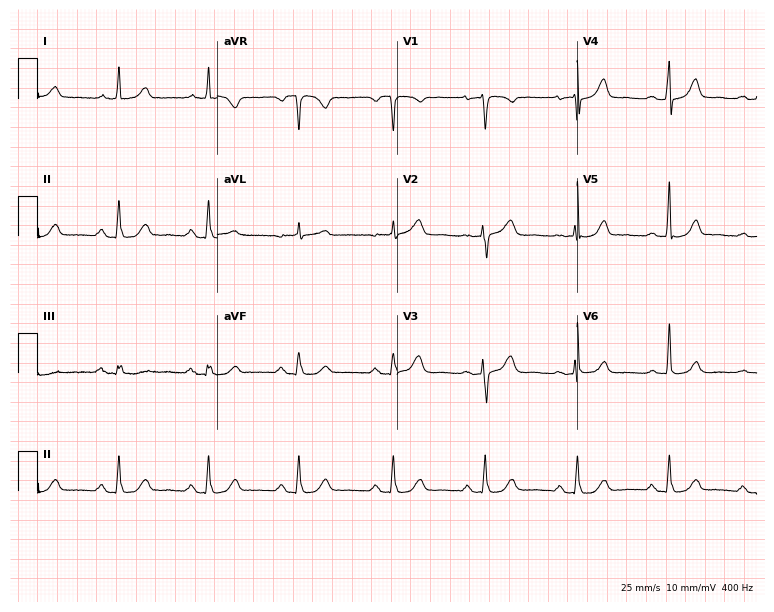
ECG — a female, 65 years old. Labelled as a normal ECG.